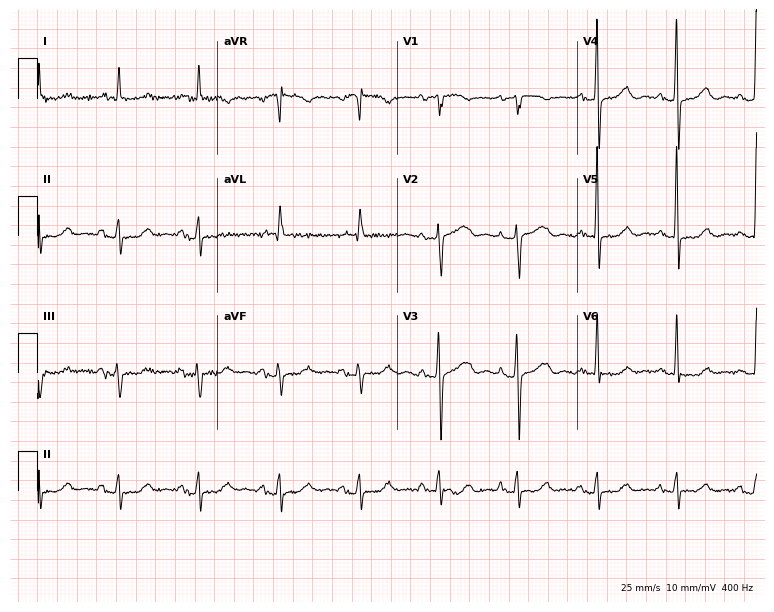
Electrocardiogram (7.3-second recording at 400 Hz), a 77-year-old woman. Of the six screened findings (first-degree AV block, right bundle branch block (RBBB), left bundle branch block (LBBB), sinus bradycardia, atrial fibrillation (AF), sinus tachycardia), none is recorded. Findings outside these six are not listed.